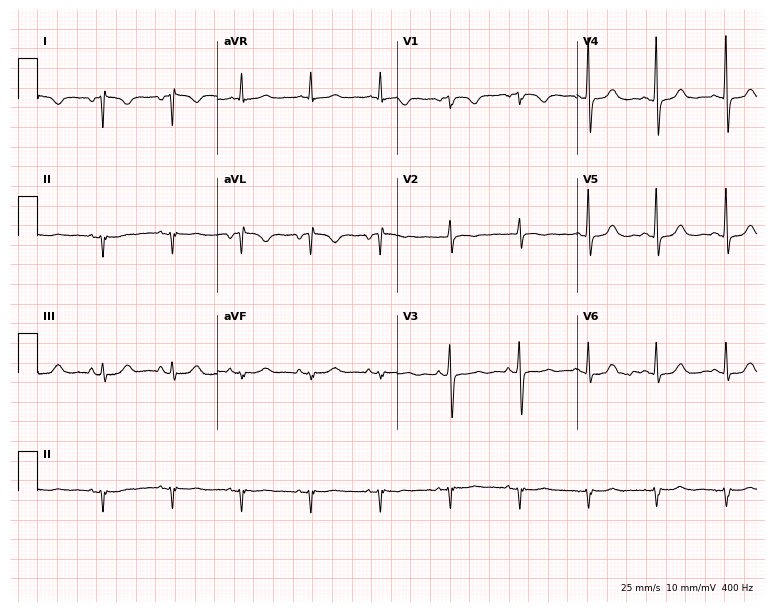
Resting 12-lead electrocardiogram (7.3-second recording at 400 Hz). Patient: a 65-year-old female. None of these six findings is recorded: first-degree AV block, right bundle branch block, left bundle branch block, sinus bradycardia, atrial fibrillation, sinus tachycardia.